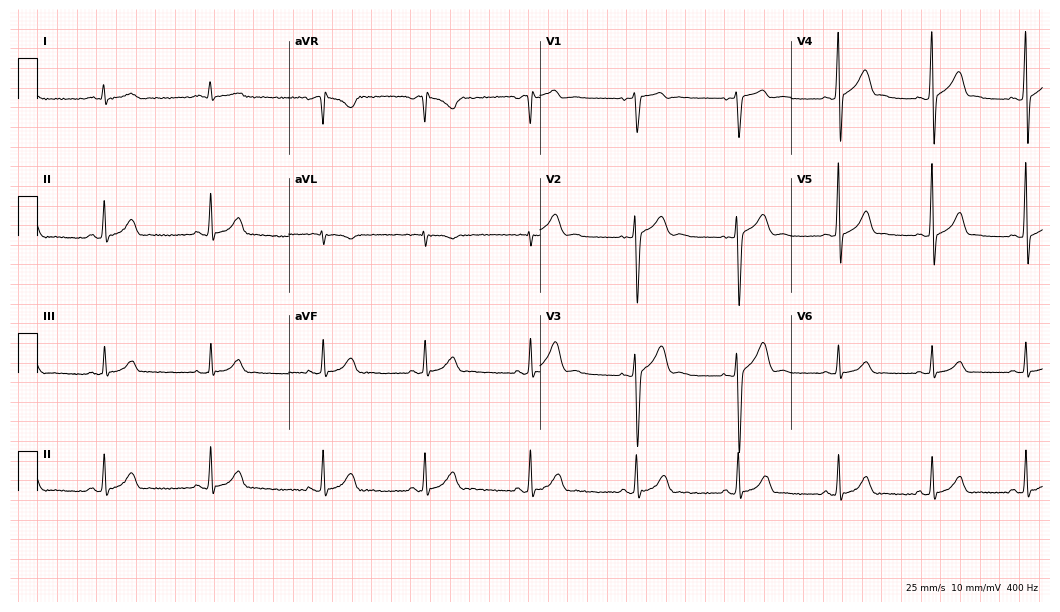
ECG (10.2-second recording at 400 Hz) — a 17-year-old male patient. Labelled as a normal ECG.